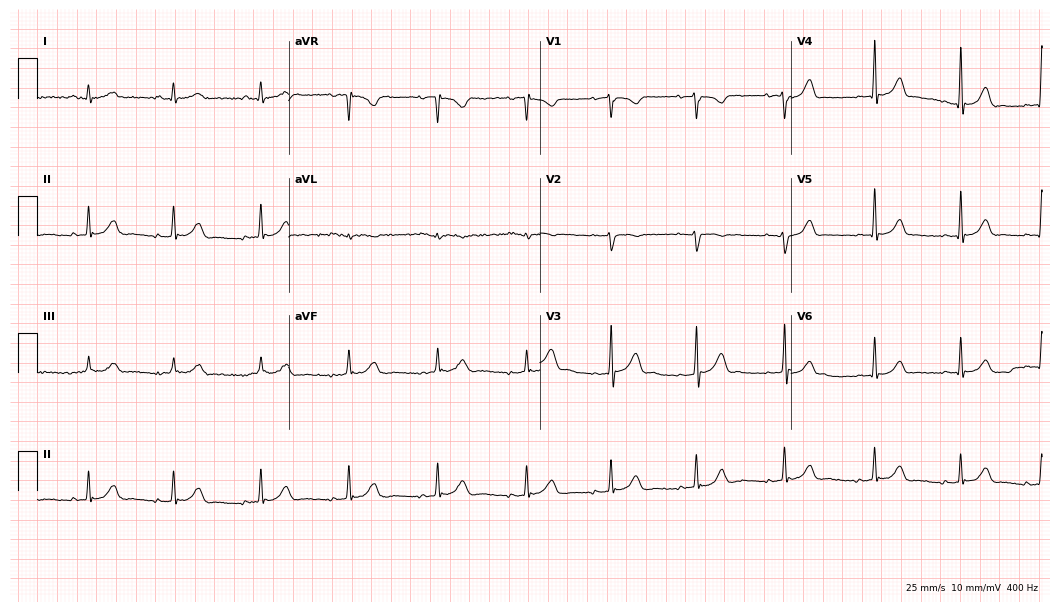
Resting 12-lead electrocardiogram. Patient: a 34-year-old female. None of these six findings is recorded: first-degree AV block, right bundle branch block (RBBB), left bundle branch block (LBBB), sinus bradycardia, atrial fibrillation (AF), sinus tachycardia.